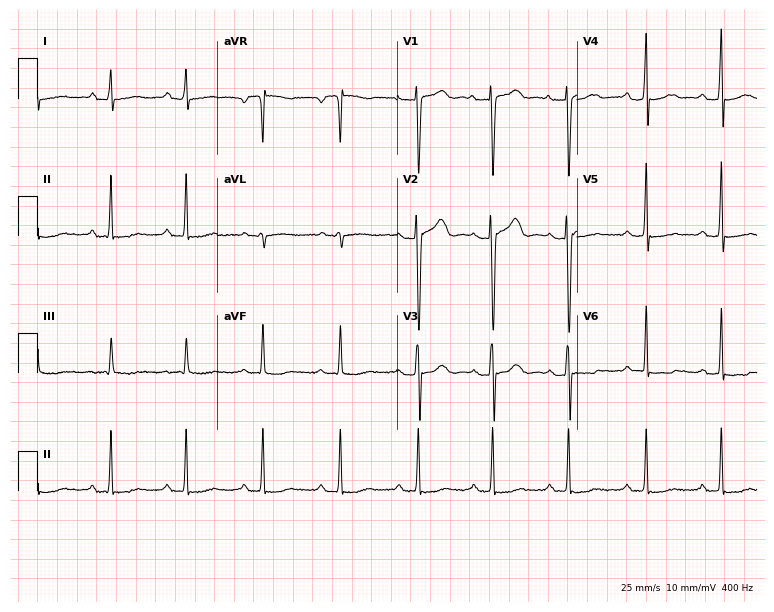
ECG (7.3-second recording at 400 Hz) — a 26-year-old female. Screened for six findings — first-degree AV block, right bundle branch block, left bundle branch block, sinus bradycardia, atrial fibrillation, sinus tachycardia — none is recorded.